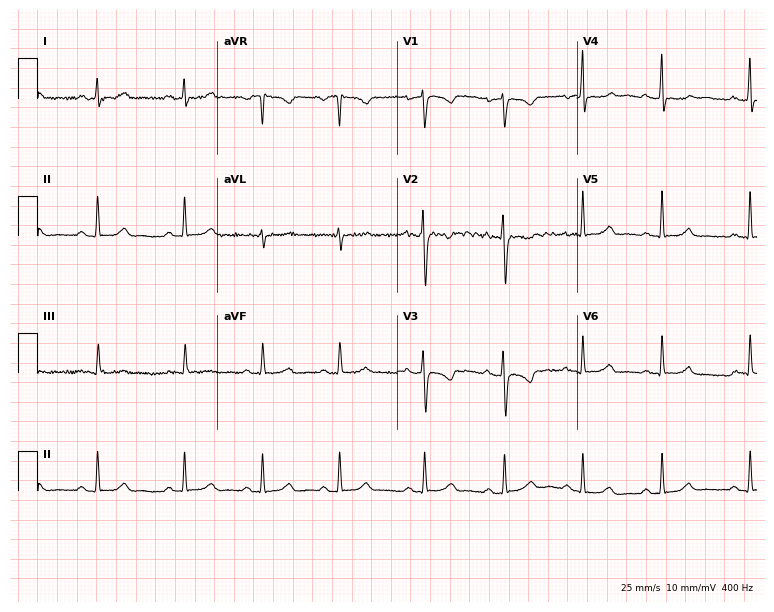
Electrocardiogram (7.3-second recording at 400 Hz), a 31-year-old woman. Of the six screened findings (first-degree AV block, right bundle branch block, left bundle branch block, sinus bradycardia, atrial fibrillation, sinus tachycardia), none is recorded.